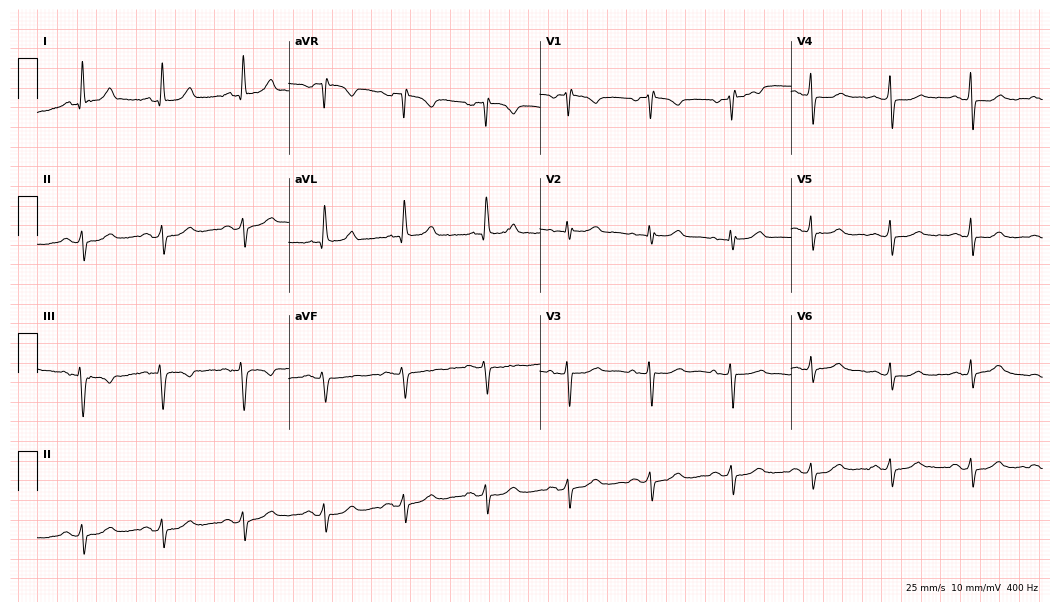
Resting 12-lead electrocardiogram (10.2-second recording at 400 Hz). Patient: a 67-year-old woman. None of these six findings is recorded: first-degree AV block, right bundle branch block (RBBB), left bundle branch block (LBBB), sinus bradycardia, atrial fibrillation (AF), sinus tachycardia. Only these six findings were labelled.